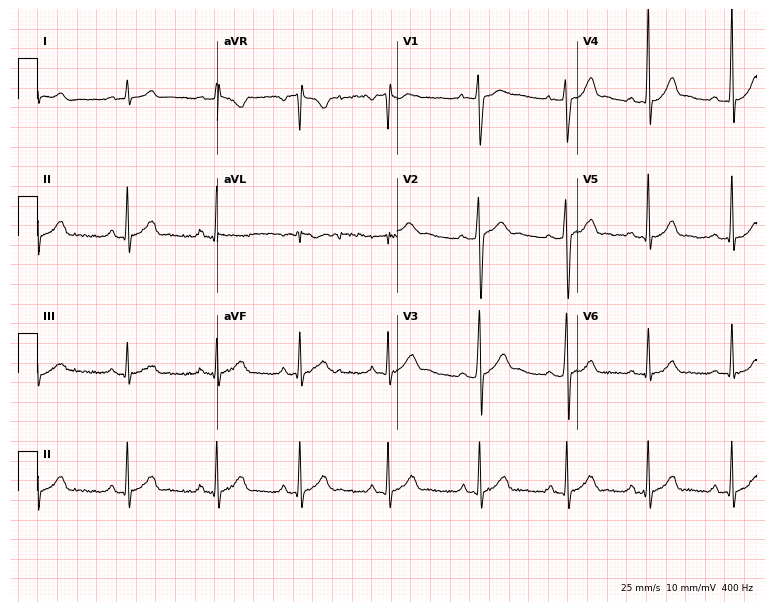
12-lead ECG from a 17-year-old male (7.3-second recording at 400 Hz). Recorded interpretation: within normal limits.